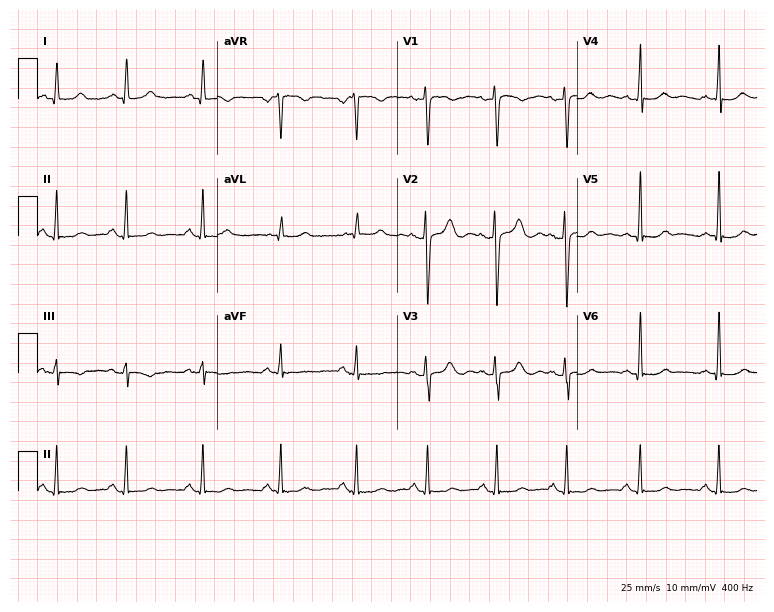
12-lead ECG from a 39-year-old female (7.3-second recording at 400 Hz). No first-degree AV block, right bundle branch block, left bundle branch block, sinus bradycardia, atrial fibrillation or sinus tachycardia recorded for this tracing.